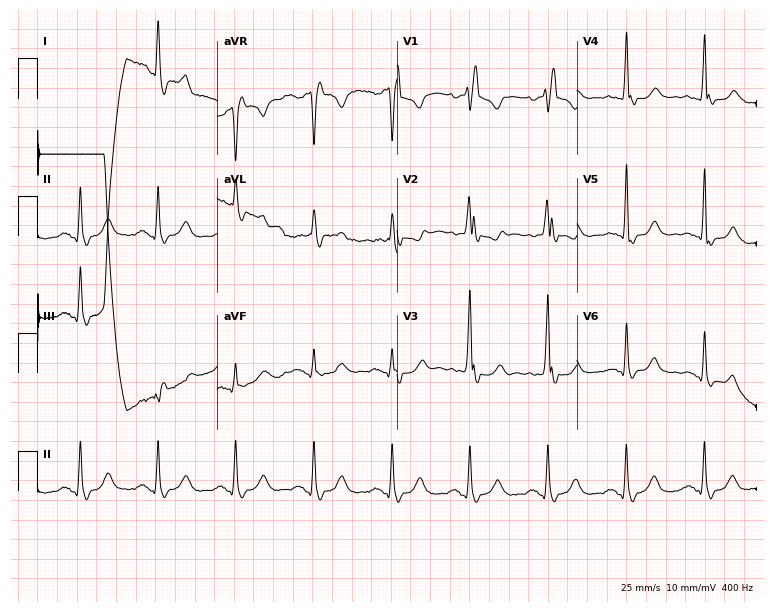
ECG (7.3-second recording at 400 Hz) — a woman, 79 years old. Screened for six findings — first-degree AV block, right bundle branch block, left bundle branch block, sinus bradycardia, atrial fibrillation, sinus tachycardia — none is recorded.